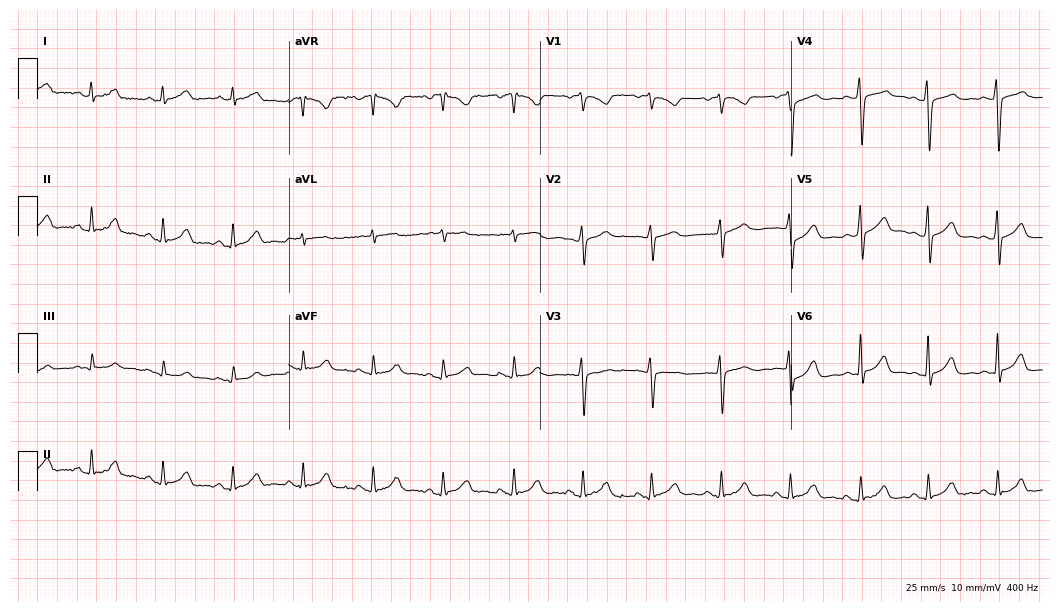
Electrocardiogram, a 39-year-old male patient. Of the six screened findings (first-degree AV block, right bundle branch block, left bundle branch block, sinus bradycardia, atrial fibrillation, sinus tachycardia), none is recorded. Findings outside these six are not listed.